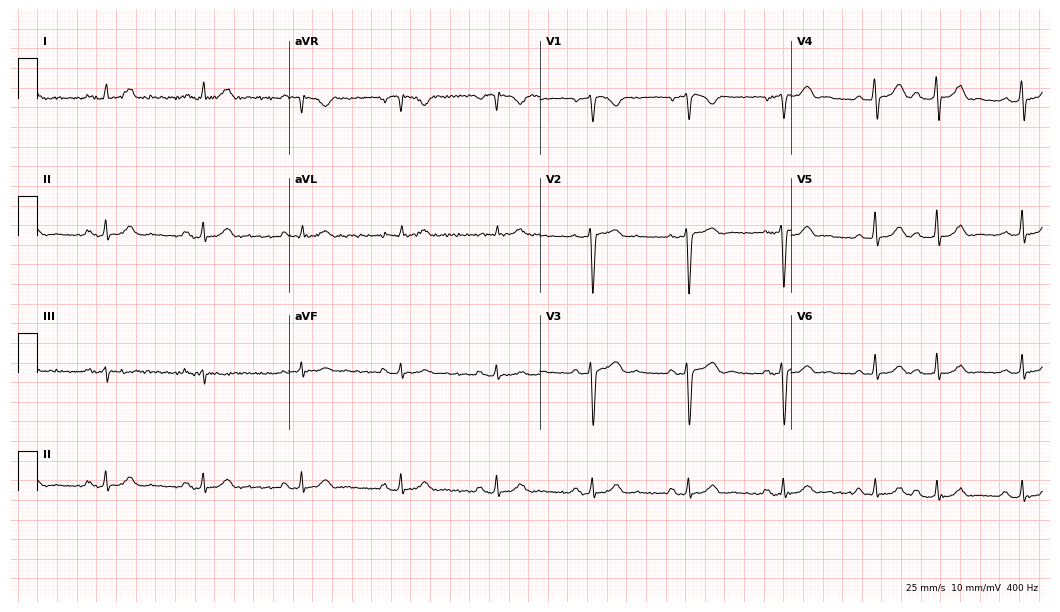
12-lead ECG from a 41-year-old male. No first-degree AV block, right bundle branch block, left bundle branch block, sinus bradycardia, atrial fibrillation or sinus tachycardia recorded for this tracing. Only these six findings were labelled.